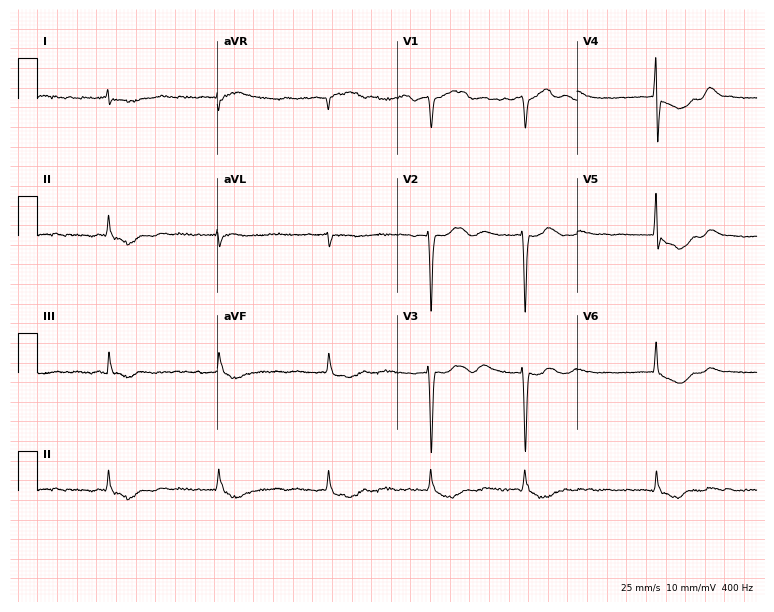
Resting 12-lead electrocardiogram (7.3-second recording at 400 Hz). Patient: an 87-year-old female. The tracing shows atrial fibrillation.